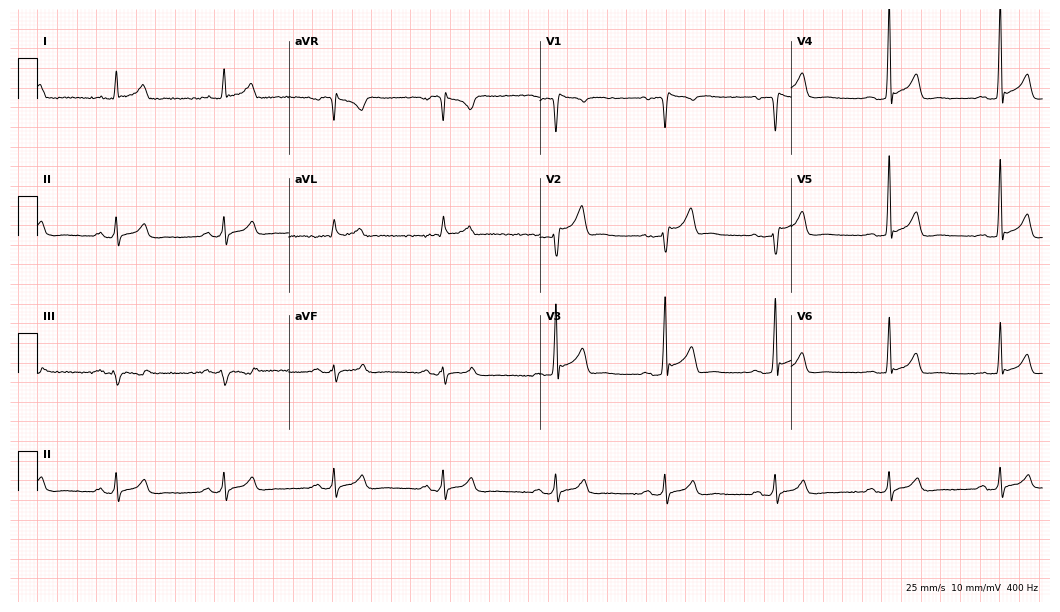
Standard 12-lead ECG recorded from a male patient, 42 years old. None of these six findings is recorded: first-degree AV block, right bundle branch block, left bundle branch block, sinus bradycardia, atrial fibrillation, sinus tachycardia.